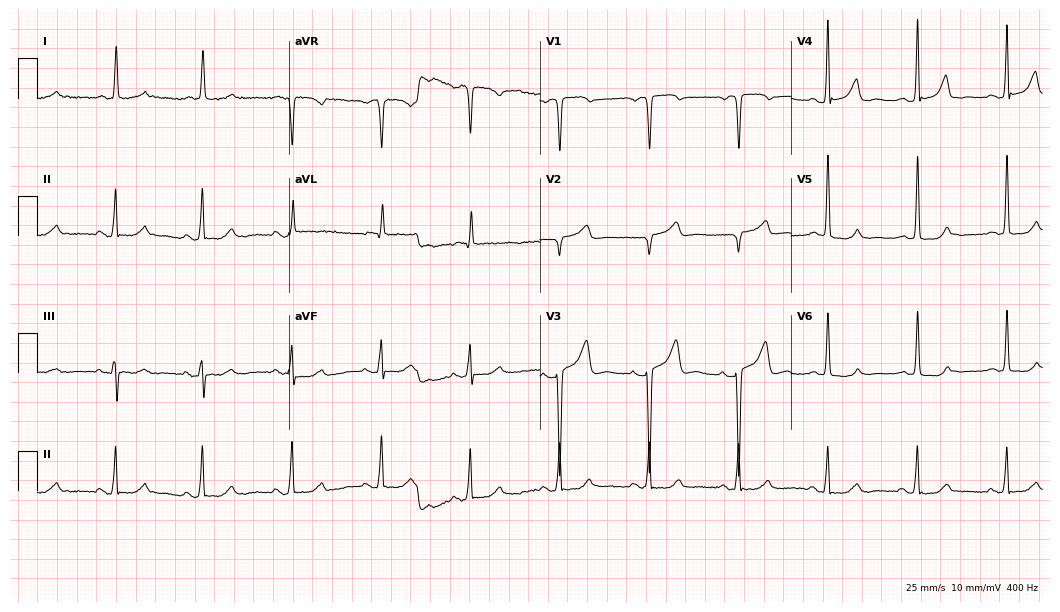
12-lead ECG (10.2-second recording at 400 Hz) from a female, 72 years old. Screened for six findings — first-degree AV block, right bundle branch block, left bundle branch block, sinus bradycardia, atrial fibrillation, sinus tachycardia — none is recorded. Other findings, if any, are not listed.